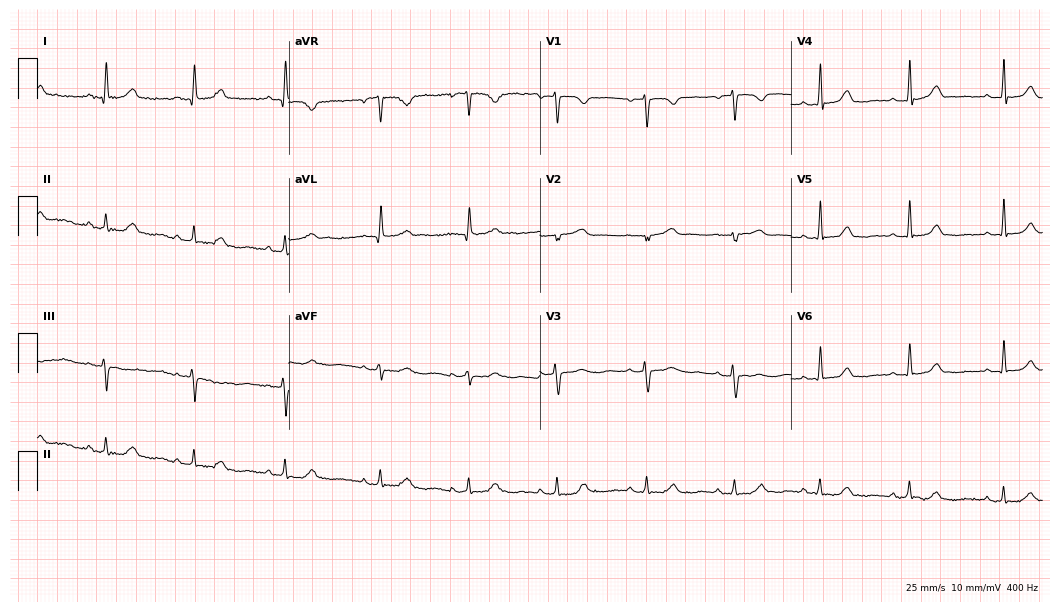
ECG (10.2-second recording at 400 Hz) — a female patient, 54 years old. Labelled as a normal ECG.